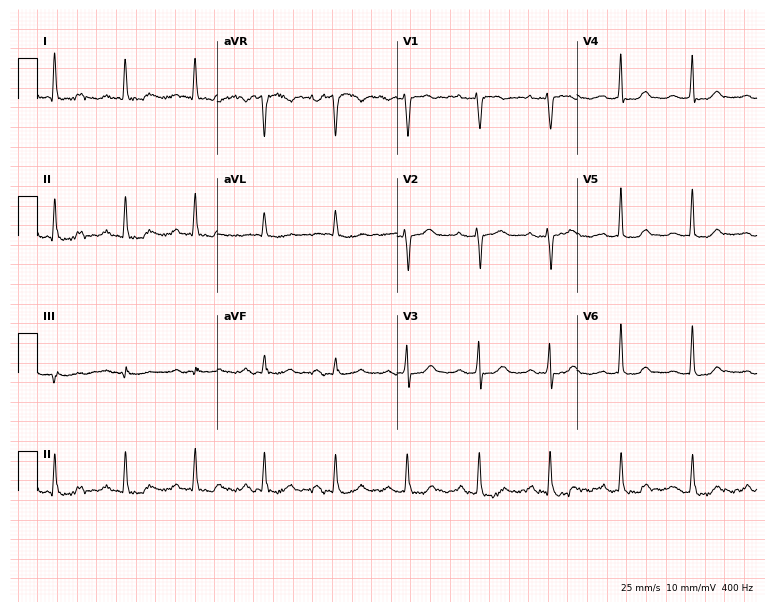
Electrocardiogram, a 69-year-old female patient. Of the six screened findings (first-degree AV block, right bundle branch block (RBBB), left bundle branch block (LBBB), sinus bradycardia, atrial fibrillation (AF), sinus tachycardia), none is recorded.